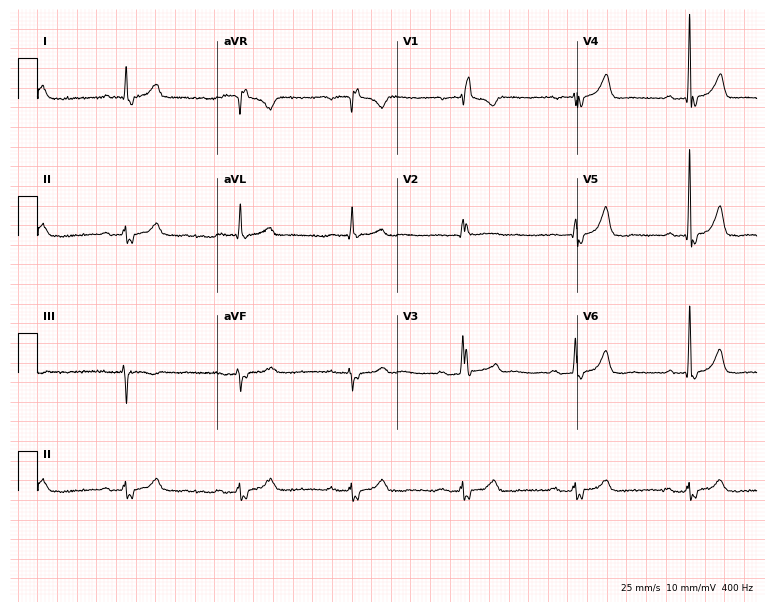
12-lead ECG (7.3-second recording at 400 Hz) from a 72-year-old male. Findings include first-degree AV block, right bundle branch block.